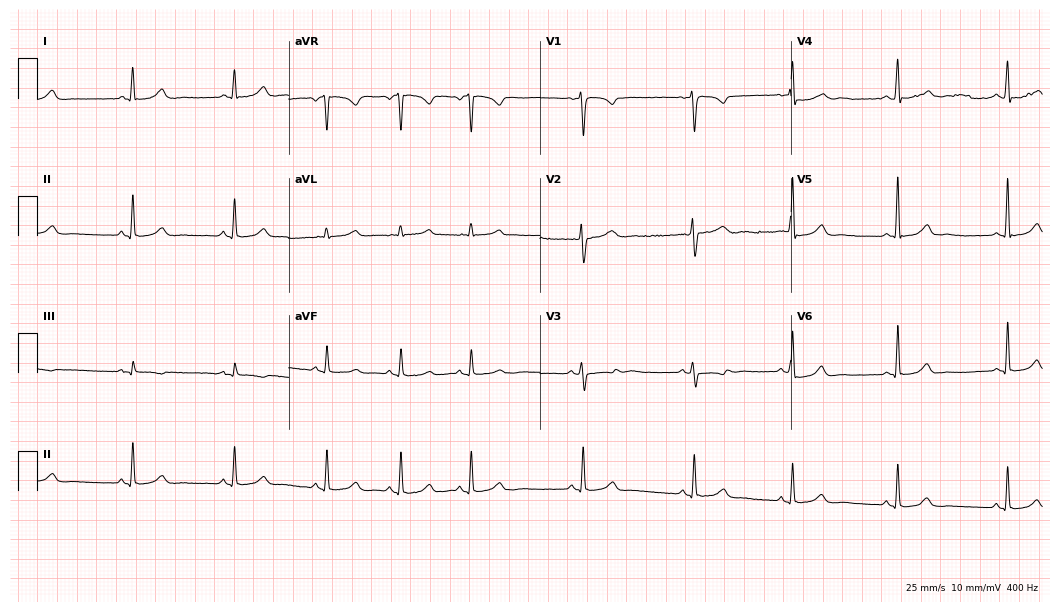
12-lead ECG from a female, 32 years old (10.2-second recording at 400 Hz). Recorded interpretation: within normal limits.